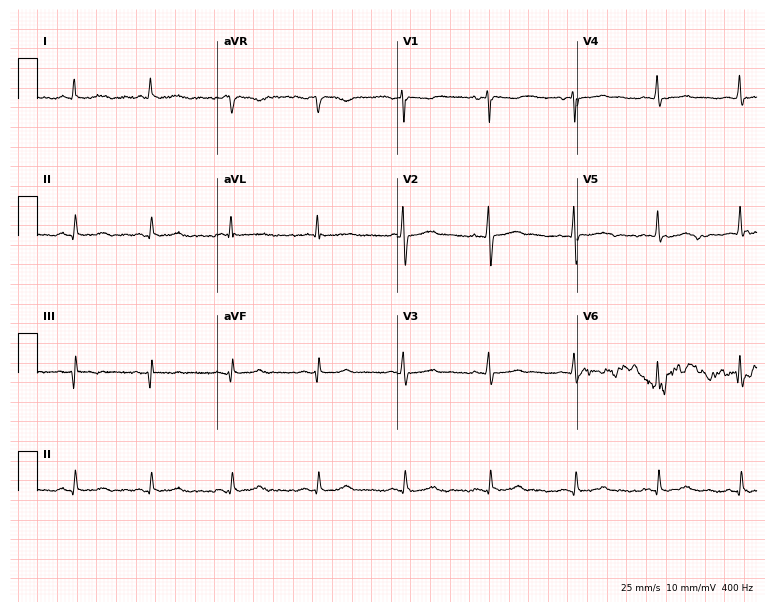
Resting 12-lead electrocardiogram (7.3-second recording at 400 Hz). Patient: a woman, 39 years old. None of these six findings is recorded: first-degree AV block, right bundle branch block, left bundle branch block, sinus bradycardia, atrial fibrillation, sinus tachycardia. Only these six findings were labelled.